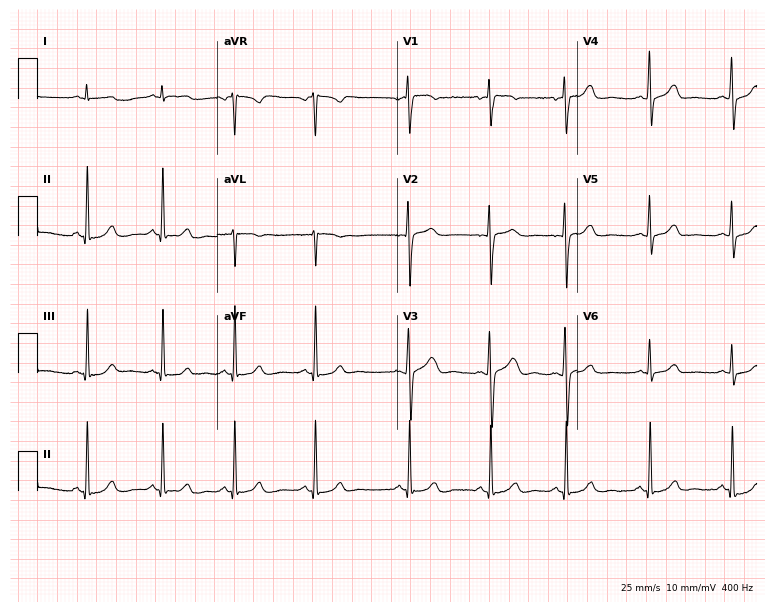
12-lead ECG (7.3-second recording at 400 Hz) from a female patient, 30 years old. Labelled as a normal ECG.